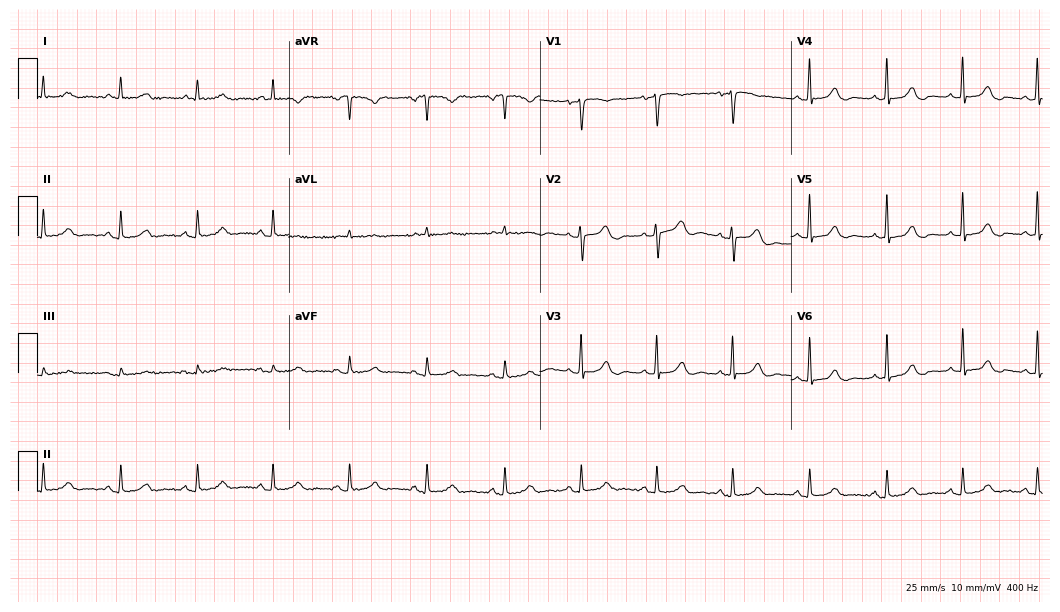
ECG (10.2-second recording at 400 Hz) — a female, 83 years old. Labelled as a normal ECG.